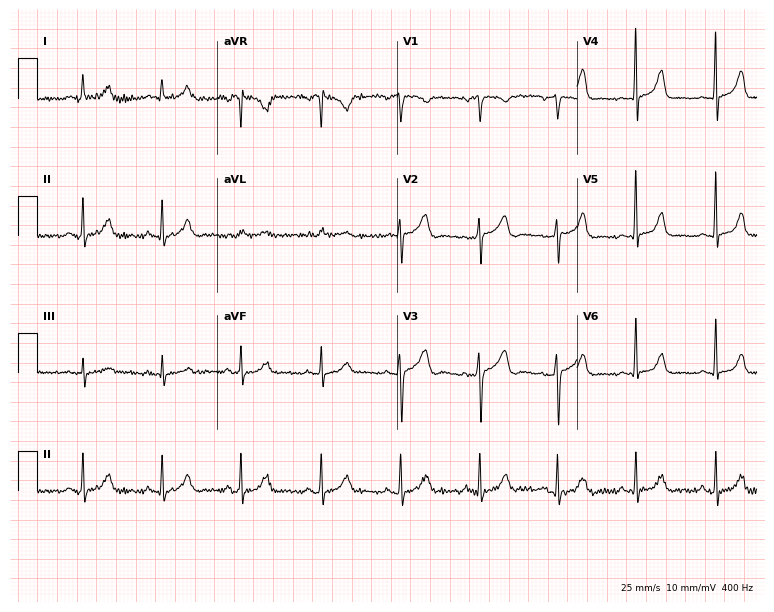
ECG (7.3-second recording at 400 Hz) — a woman, 48 years old. Labelled as a normal ECG.